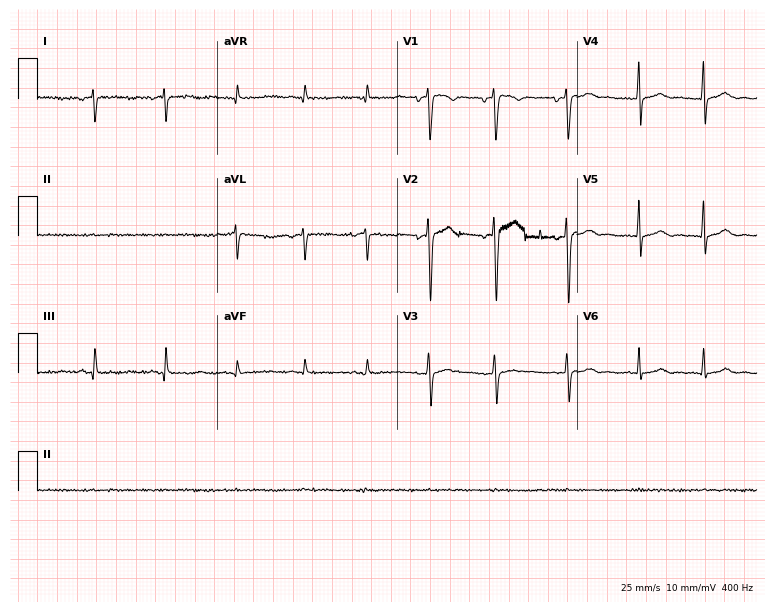
Standard 12-lead ECG recorded from a 40-year-old woman. None of these six findings is recorded: first-degree AV block, right bundle branch block (RBBB), left bundle branch block (LBBB), sinus bradycardia, atrial fibrillation (AF), sinus tachycardia.